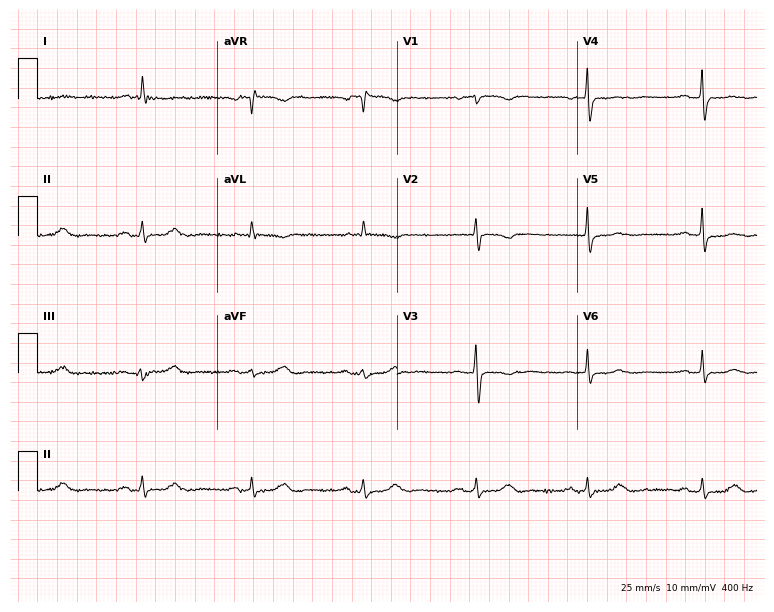
12-lead ECG from a female patient, 60 years old (7.3-second recording at 400 Hz). No first-degree AV block, right bundle branch block, left bundle branch block, sinus bradycardia, atrial fibrillation or sinus tachycardia recorded for this tracing.